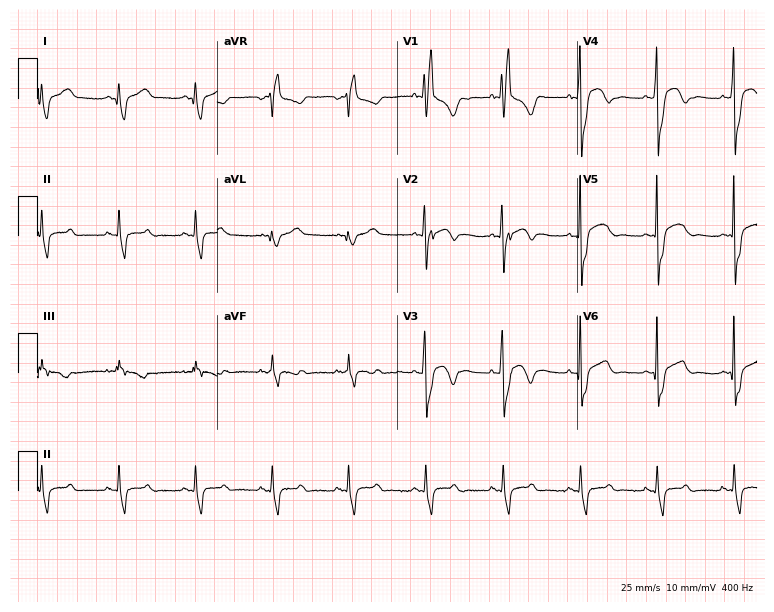
Resting 12-lead electrocardiogram (7.3-second recording at 400 Hz). Patient: a 50-year-old male. The tracing shows right bundle branch block.